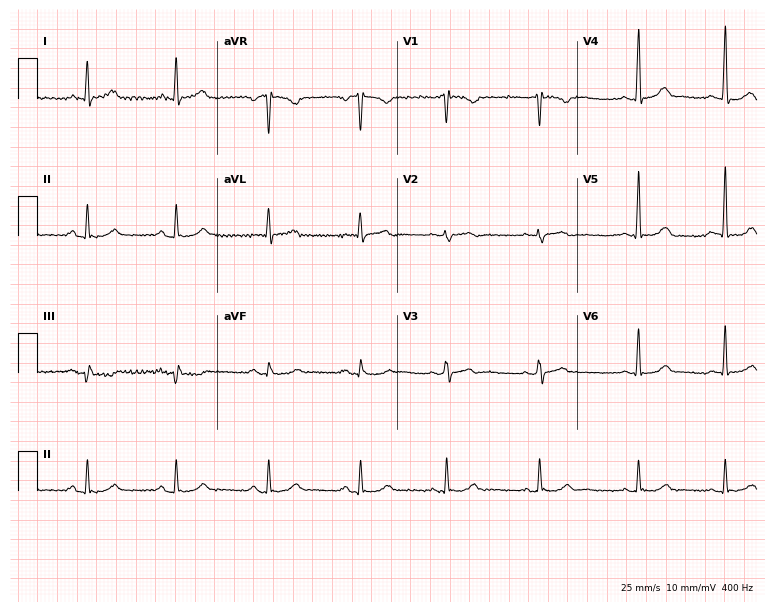
Electrocardiogram, a 60-year-old male patient. Overall reading on record: normal ECG.